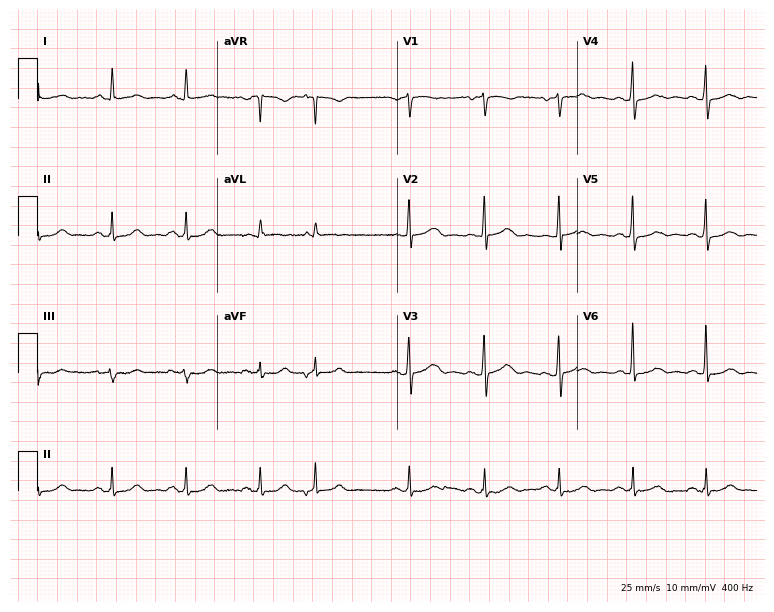
Electrocardiogram (7.3-second recording at 400 Hz), a 66-year-old female. Of the six screened findings (first-degree AV block, right bundle branch block, left bundle branch block, sinus bradycardia, atrial fibrillation, sinus tachycardia), none is recorded. Findings outside these six are not listed.